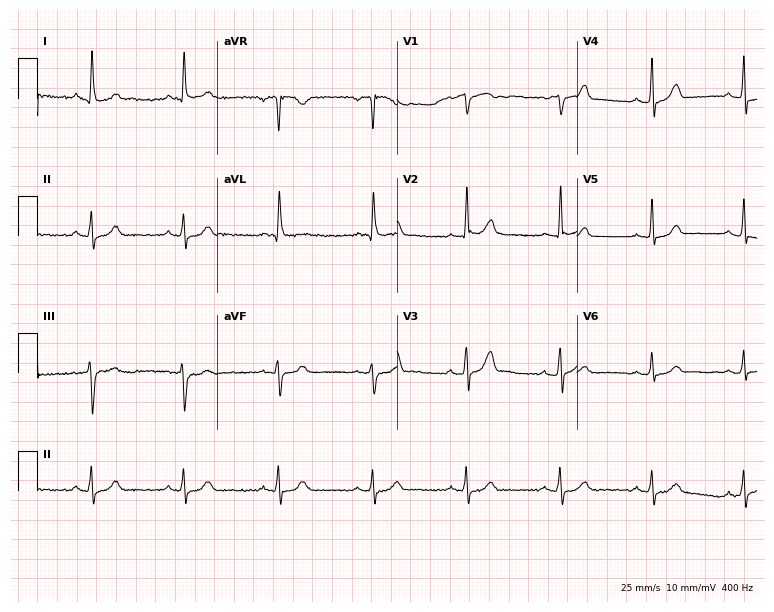
Electrocardiogram (7.3-second recording at 400 Hz), a 62-year-old male patient. Overall reading on record: normal ECG.